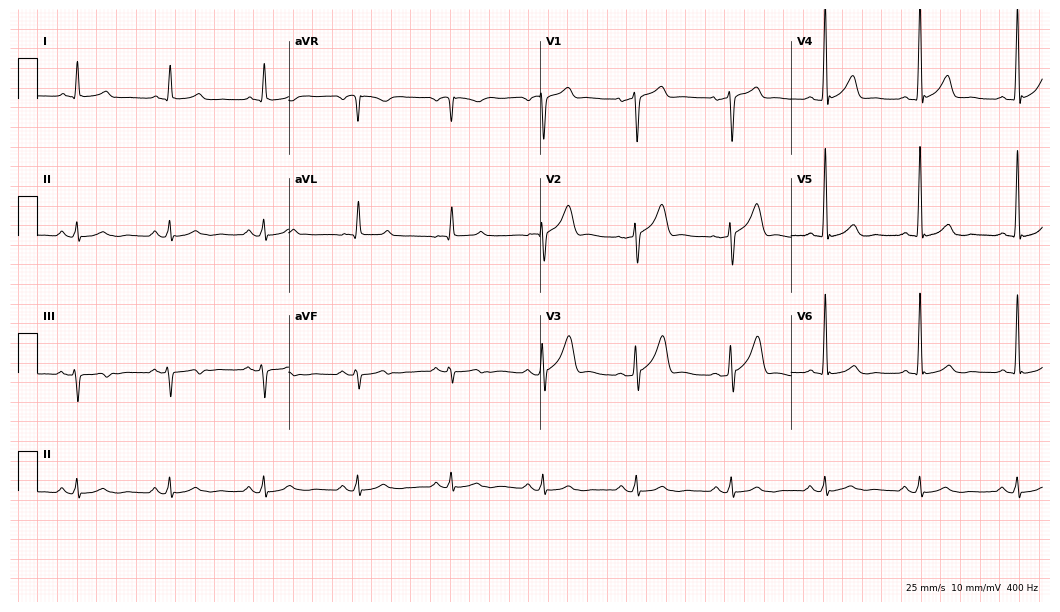
12-lead ECG from a 76-year-old female patient. Screened for six findings — first-degree AV block, right bundle branch block, left bundle branch block, sinus bradycardia, atrial fibrillation, sinus tachycardia — none is recorded.